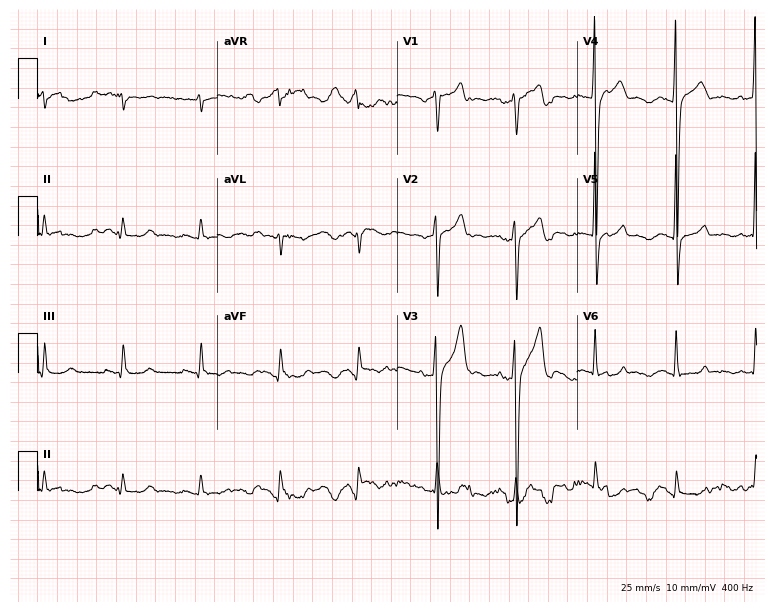
12-lead ECG from a man, 57 years old. No first-degree AV block, right bundle branch block, left bundle branch block, sinus bradycardia, atrial fibrillation or sinus tachycardia recorded for this tracing.